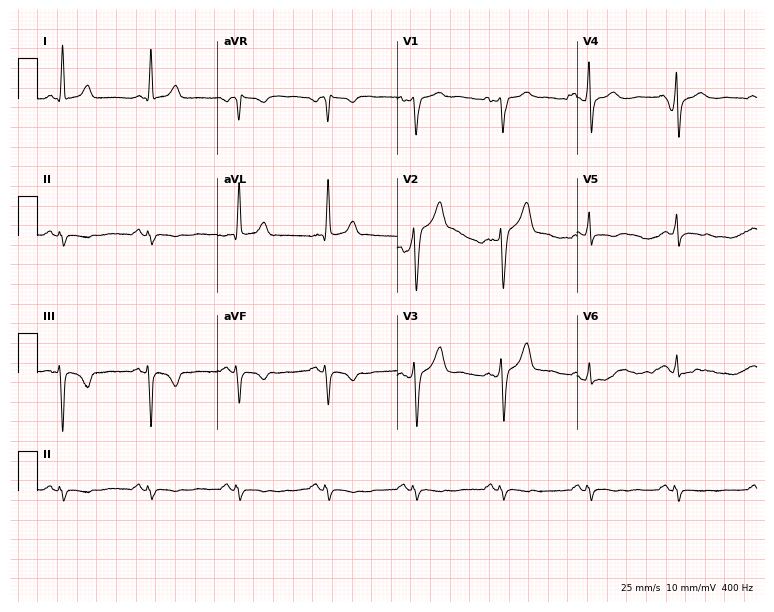
ECG (7.3-second recording at 400 Hz) — a male patient, 48 years old. Screened for six findings — first-degree AV block, right bundle branch block, left bundle branch block, sinus bradycardia, atrial fibrillation, sinus tachycardia — none is recorded.